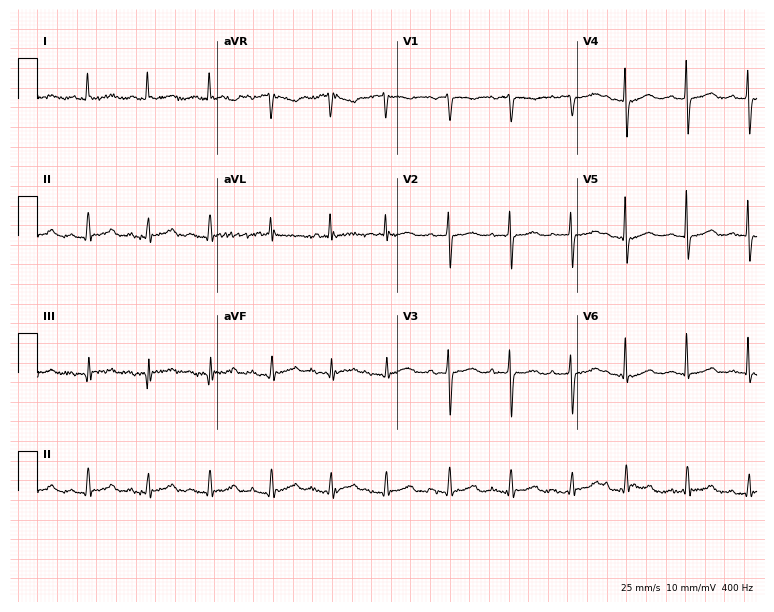
12-lead ECG from an 81-year-old female (7.3-second recording at 400 Hz). No first-degree AV block, right bundle branch block, left bundle branch block, sinus bradycardia, atrial fibrillation or sinus tachycardia recorded for this tracing.